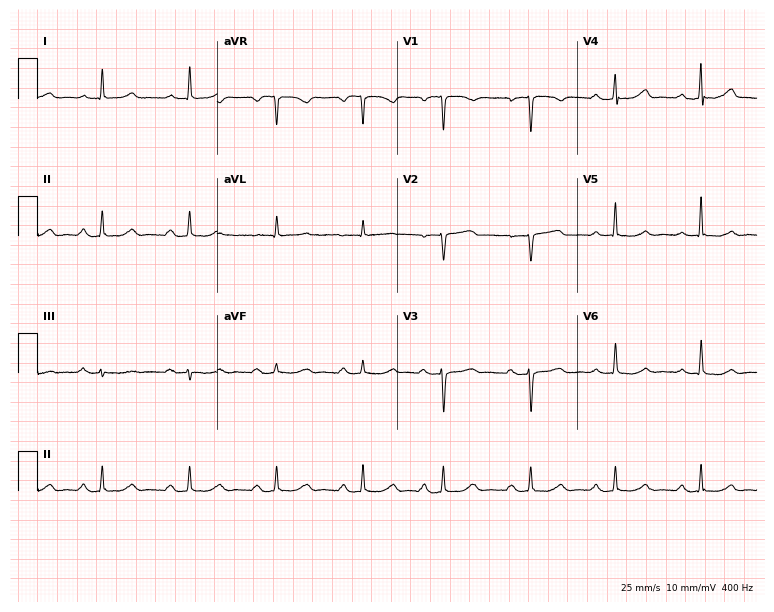
Electrocardiogram (7.3-second recording at 400 Hz), a female, 48 years old. Overall reading on record: normal ECG.